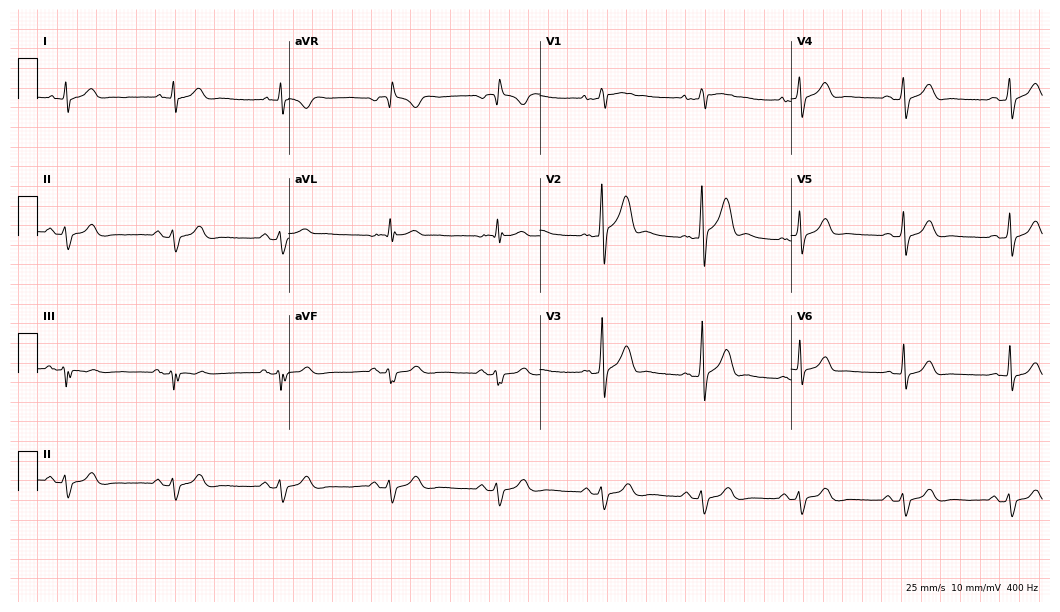
12-lead ECG from a male patient, 29 years old. Screened for six findings — first-degree AV block, right bundle branch block, left bundle branch block, sinus bradycardia, atrial fibrillation, sinus tachycardia — none is recorded.